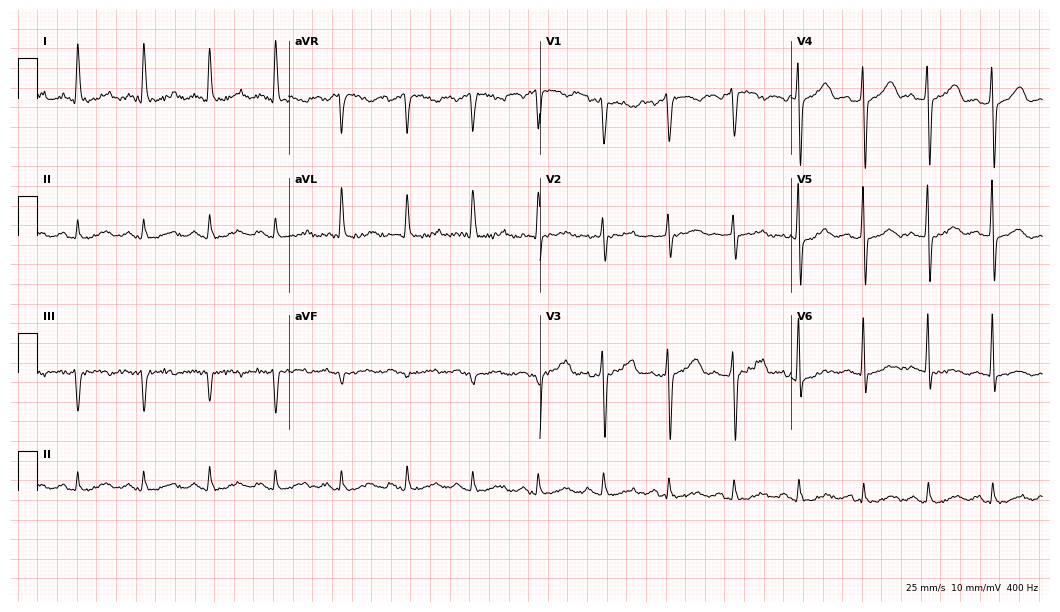
Electrocardiogram (10.2-second recording at 400 Hz), a male, 64 years old. Overall reading on record: normal ECG.